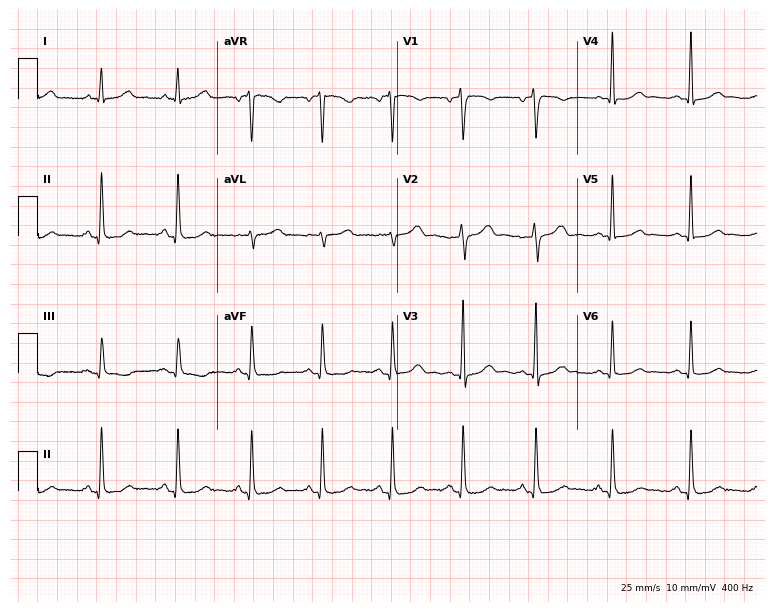
12-lead ECG from a female patient, 44 years old (7.3-second recording at 400 Hz). No first-degree AV block, right bundle branch block (RBBB), left bundle branch block (LBBB), sinus bradycardia, atrial fibrillation (AF) or sinus tachycardia recorded for this tracing. Findings outside these six are not listed.